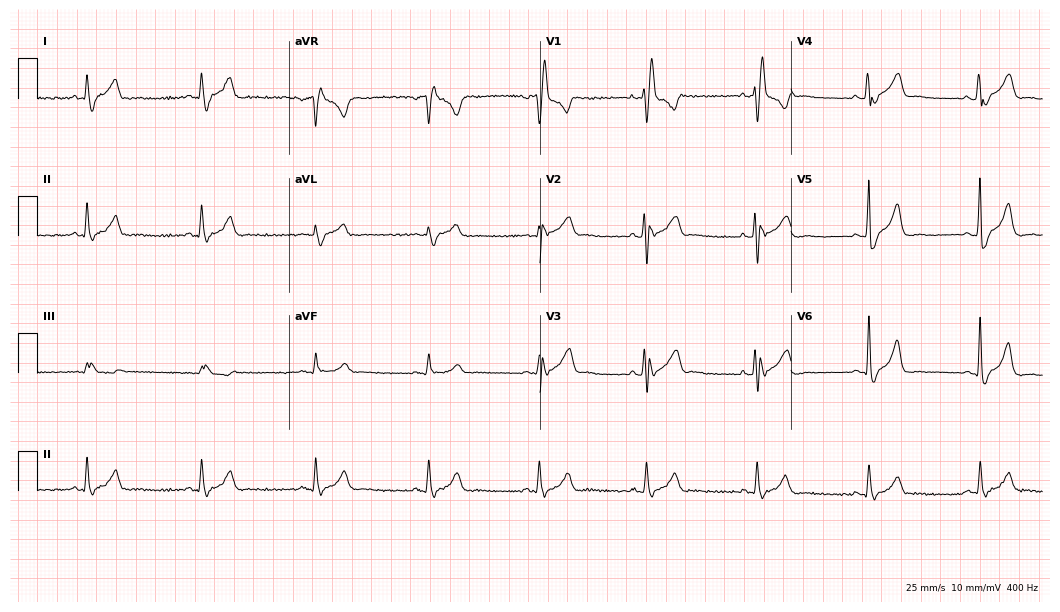
Resting 12-lead electrocardiogram. Patient: a male, 45 years old. The tracing shows right bundle branch block (RBBB).